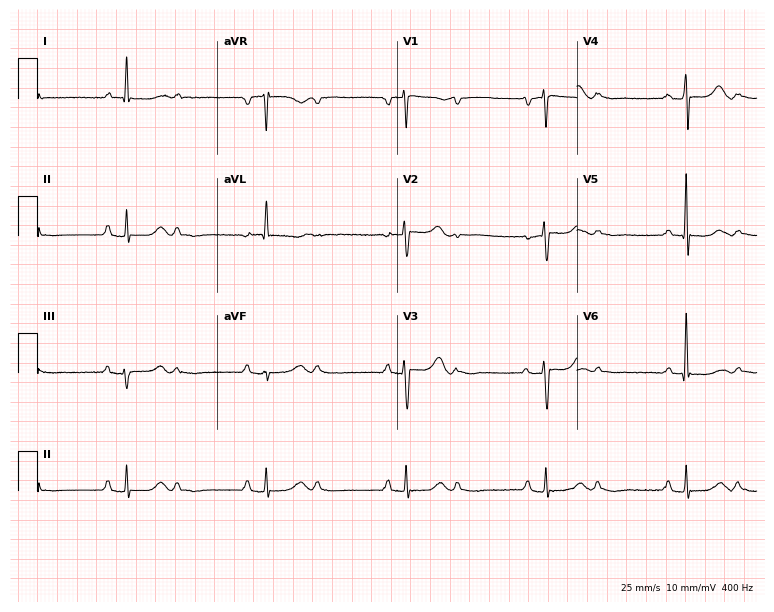
Resting 12-lead electrocardiogram. Patient: a 71-year-old woman. The tracing shows sinus bradycardia (a sinus rate of 50 beats per minute or less).